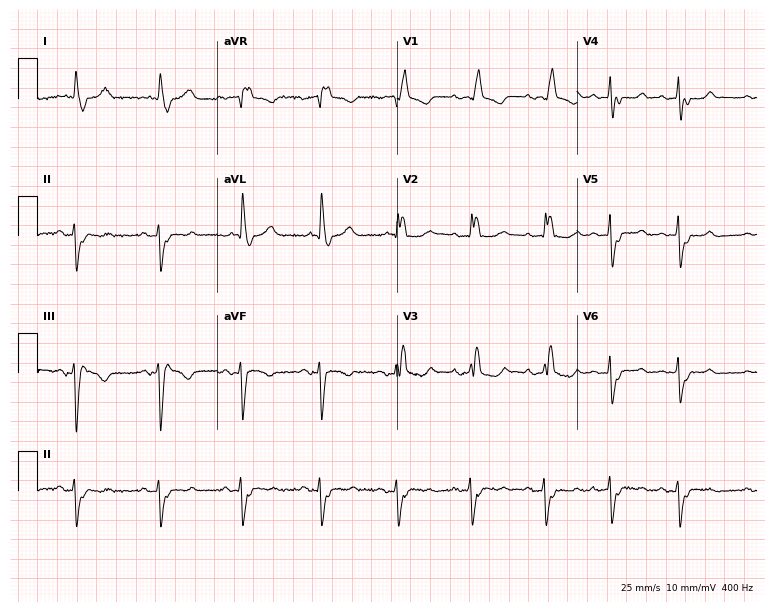
ECG — a female, 75 years old. Findings include right bundle branch block, left bundle branch block.